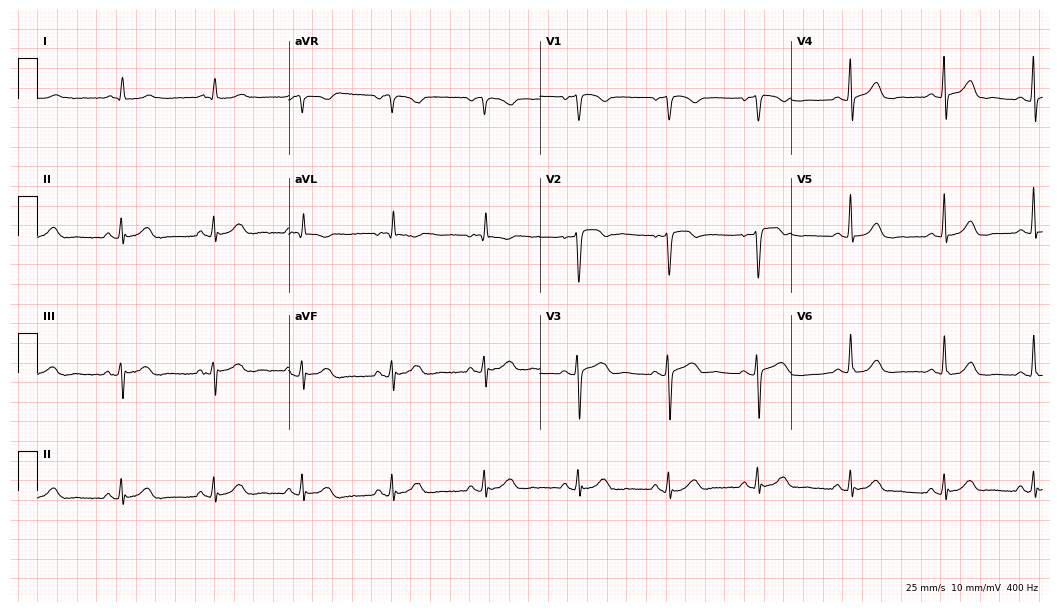
Resting 12-lead electrocardiogram (10.2-second recording at 400 Hz). Patient: a 69-year-old female. None of these six findings is recorded: first-degree AV block, right bundle branch block, left bundle branch block, sinus bradycardia, atrial fibrillation, sinus tachycardia. Other findings, if any, are not listed.